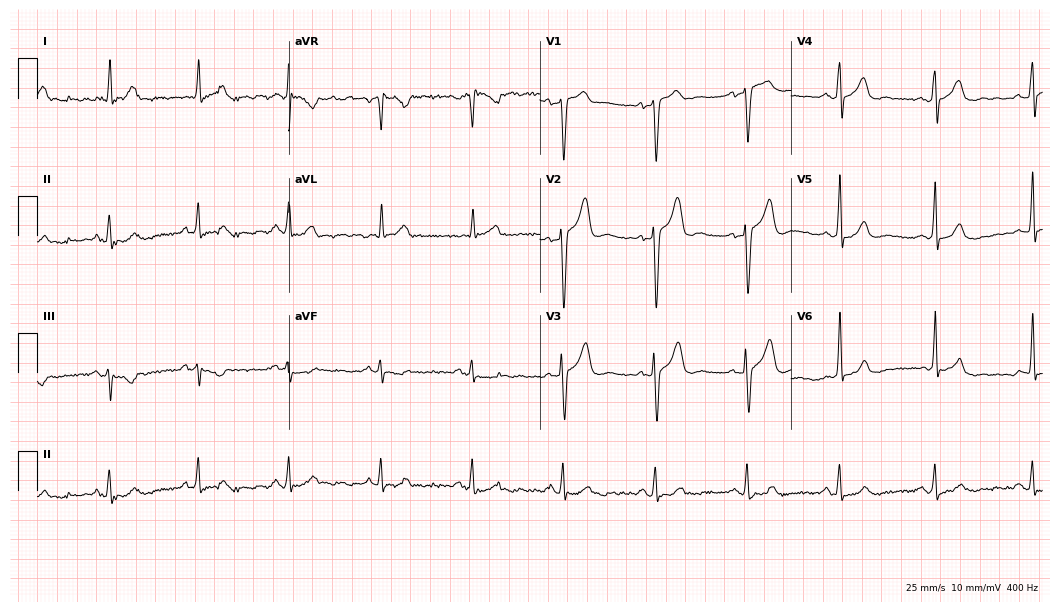
Resting 12-lead electrocardiogram. Patient: a male, 45 years old. None of these six findings is recorded: first-degree AV block, right bundle branch block, left bundle branch block, sinus bradycardia, atrial fibrillation, sinus tachycardia. Only these six findings were labelled.